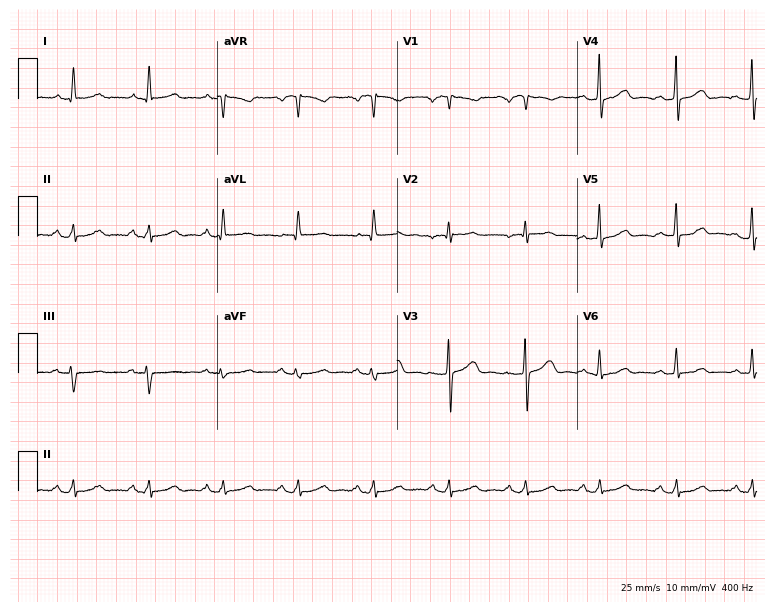
Electrocardiogram, a woman, 42 years old. Overall reading on record: normal ECG.